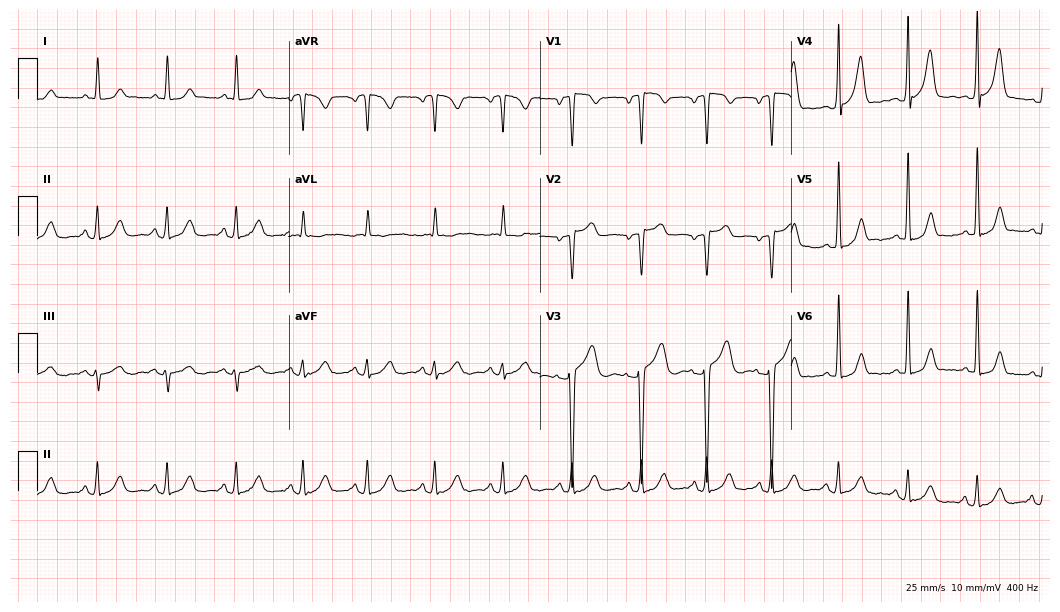
ECG — a 50-year-old woman. Screened for six findings — first-degree AV block, right bundle branch block (RBBB), left bundle branch block (LBBB), sinus bradycardia, atrial fibrillation (AF), sinus tachycardia — none is recorded. Only these six findings were labelled.